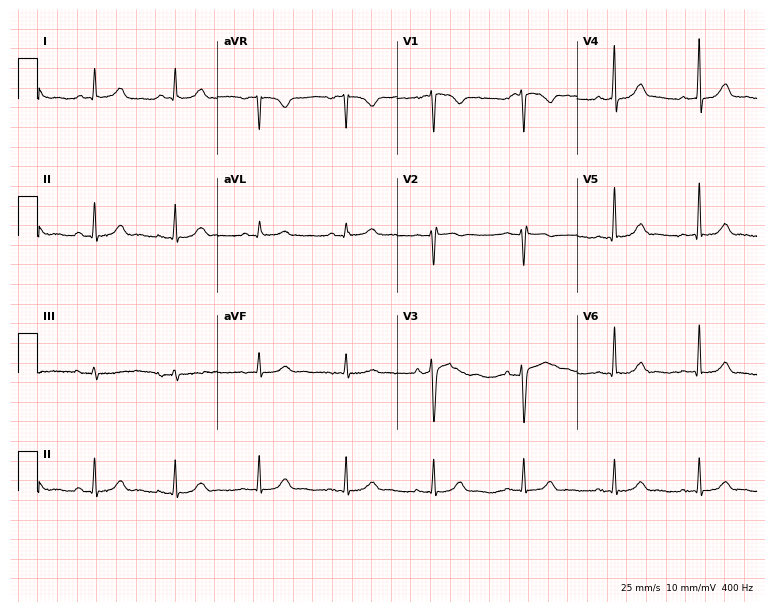
Standard 12-lead ECG recorded from a woman, 41 years old. Read as a normal ECG.